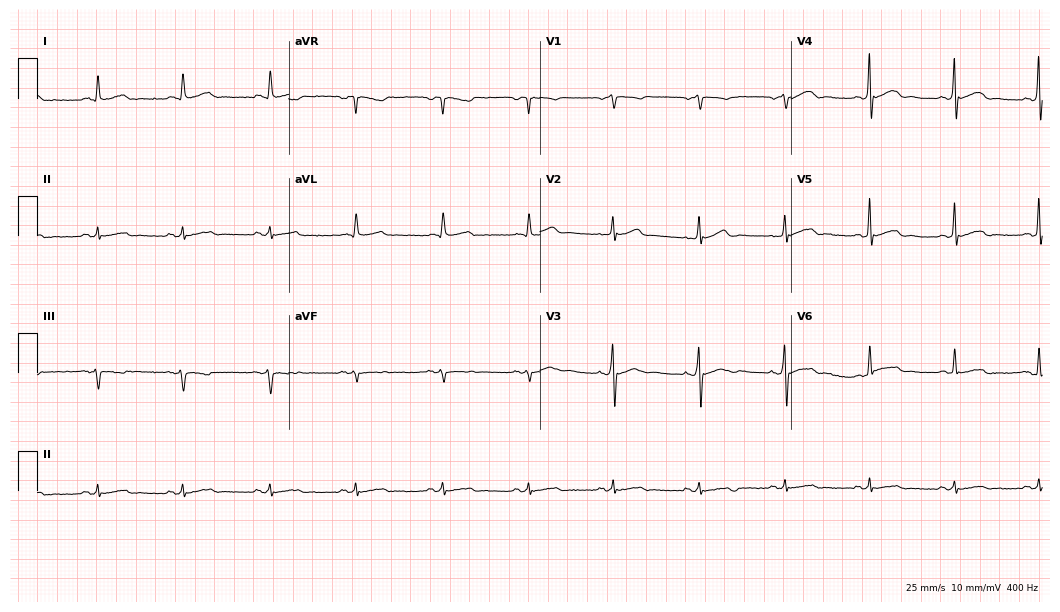
12-lead ECG from a man, 62 years old (10.2-second recording at 400 Hz). Recorded interpretation: within normal limits.